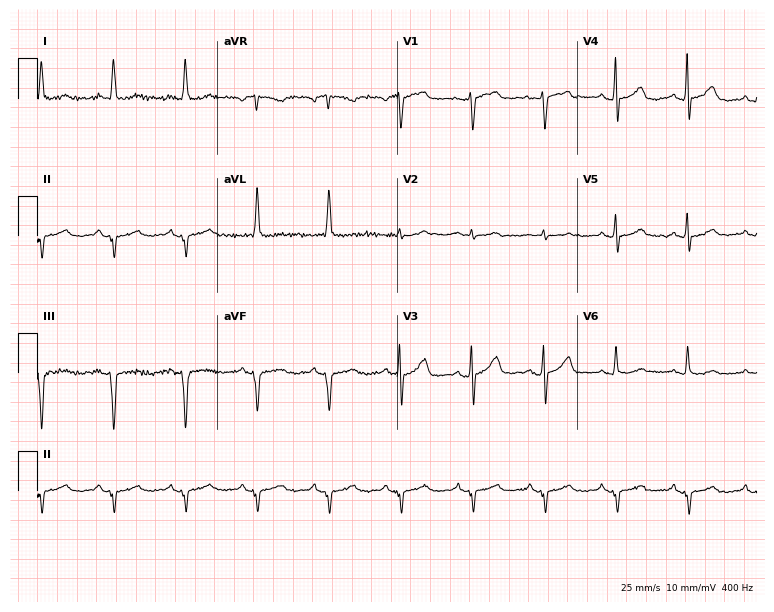
ECG (7.3-second recording at 400 Hz) — a woman, 66 years old. Screened for six findings — first-degree AV block, right bundle branch block, left bundle branch block, sinus bradycardia, atrial fibrillation, sinus tachycardia — none is recorded.